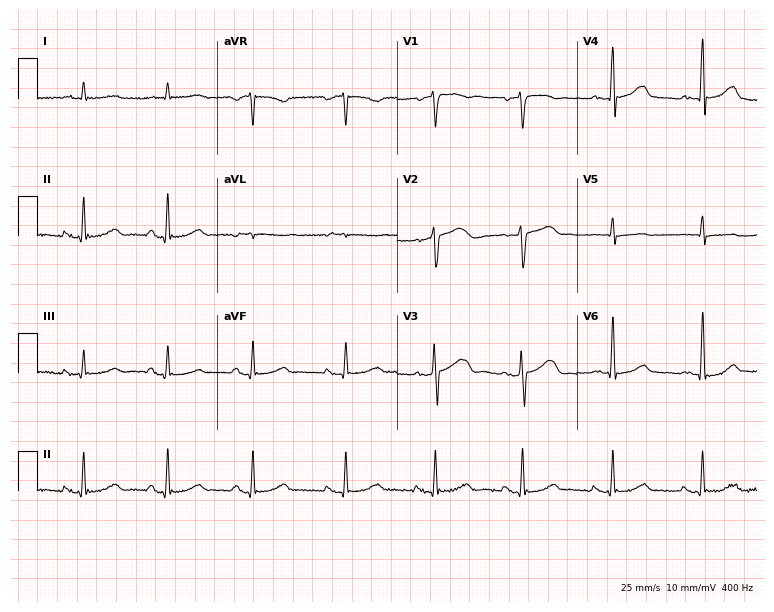
12-lead ECG from a male patient, 72 years old. No first-degree AV block, right bundle branch block, left bundle branch block, sinus bradycardia, atrial fibrillation or sinus tachycardia recorded for this tracing.